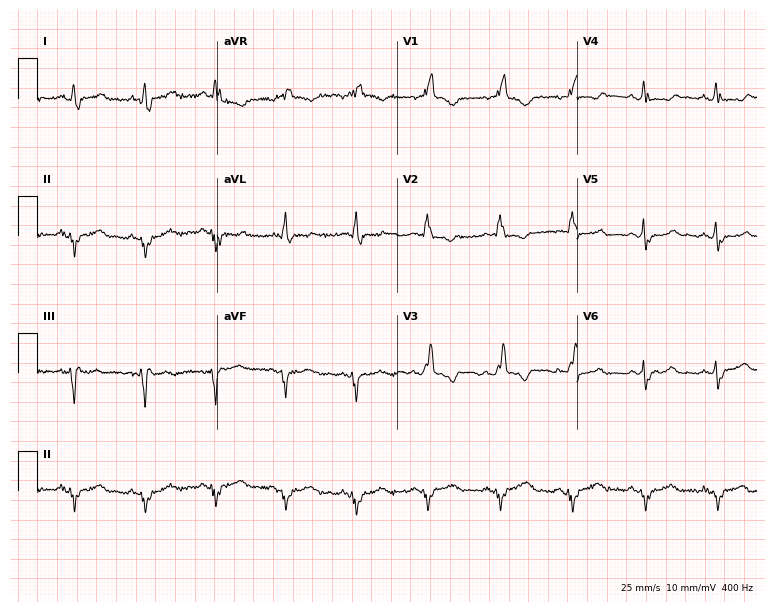
12-lead ECG (7.3-second recording at 400 Hz) from a female patient, 70 years old. Screened for six findings — first-degree AV block, right bundle branch block (RBBB), left bundle branch block (LBBB), sinus bradycardia, atrial fibrillation (AF), sinus tachycardia — none is recorded. Only these six findings were labelled.